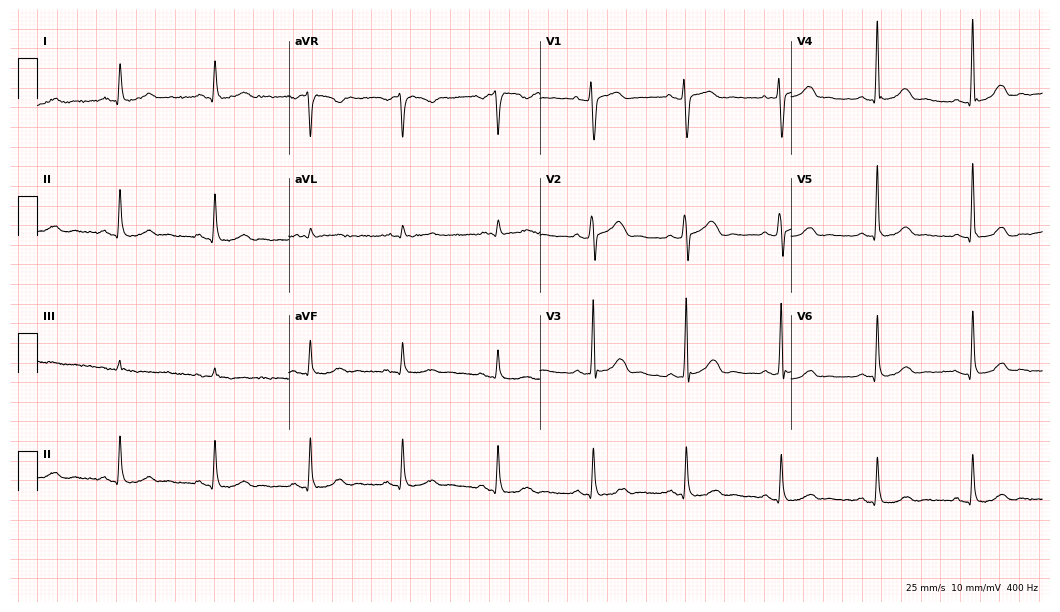
Resting 12-lead electrocardiogram (10.2-second recording at 400 Hz). Patient: a 62-year-old female. Read as a normal ECG.